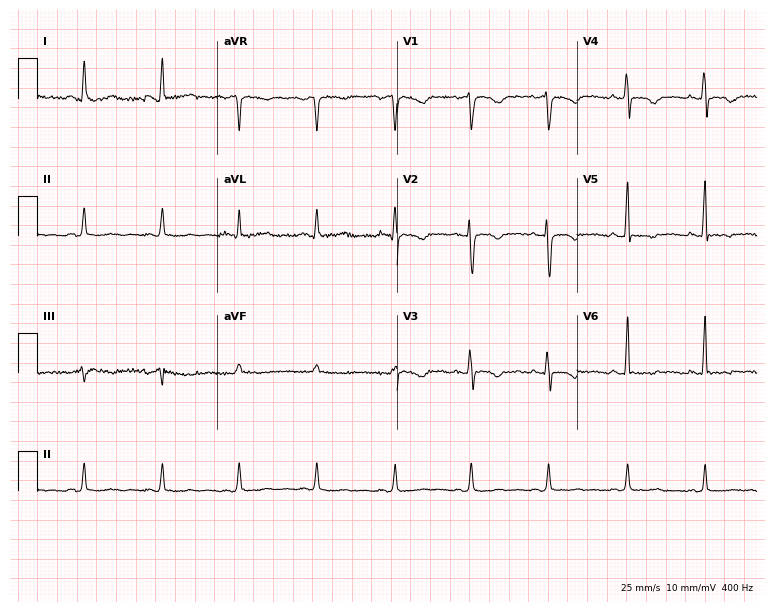
12-lead ECG (7.3-second recording at 400 Hz) from a woman, 45 years old. Screened for six findings — first-degree AV block, right bundle branch block, left bundle branch block, sinus bradycardia, atrial fibrillation, sinus tachycardia — none is recorded.